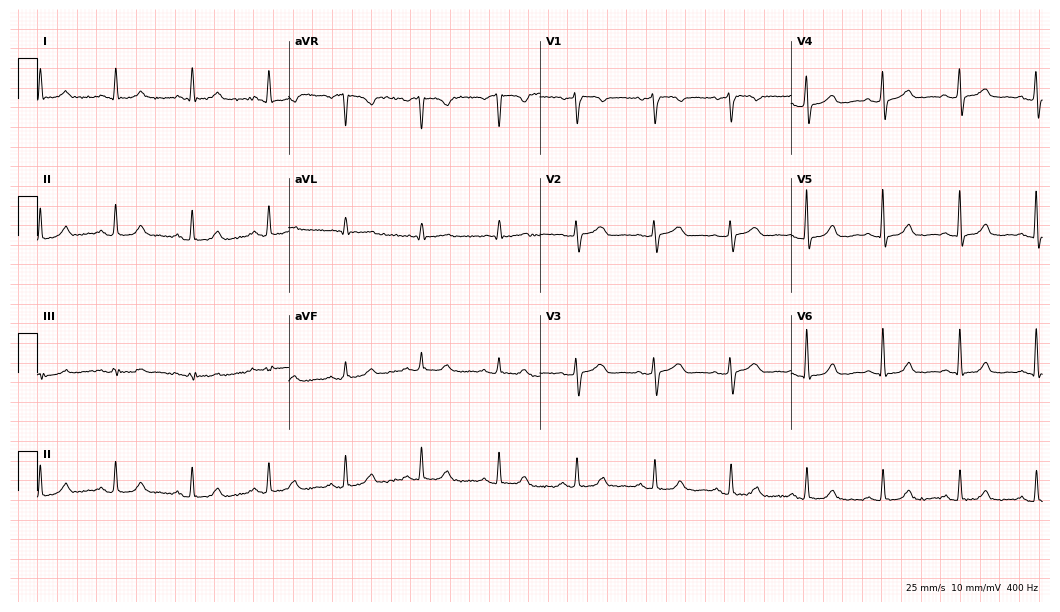
Resting 12-lead electrocardiogram. Patient: a woman, 73 years old. None of these six findings is recorded: first-degree AV block, right bundle branch block, left bundle branch block, sinus bradycardia, atrial fibrillation, sinus tachycardia.